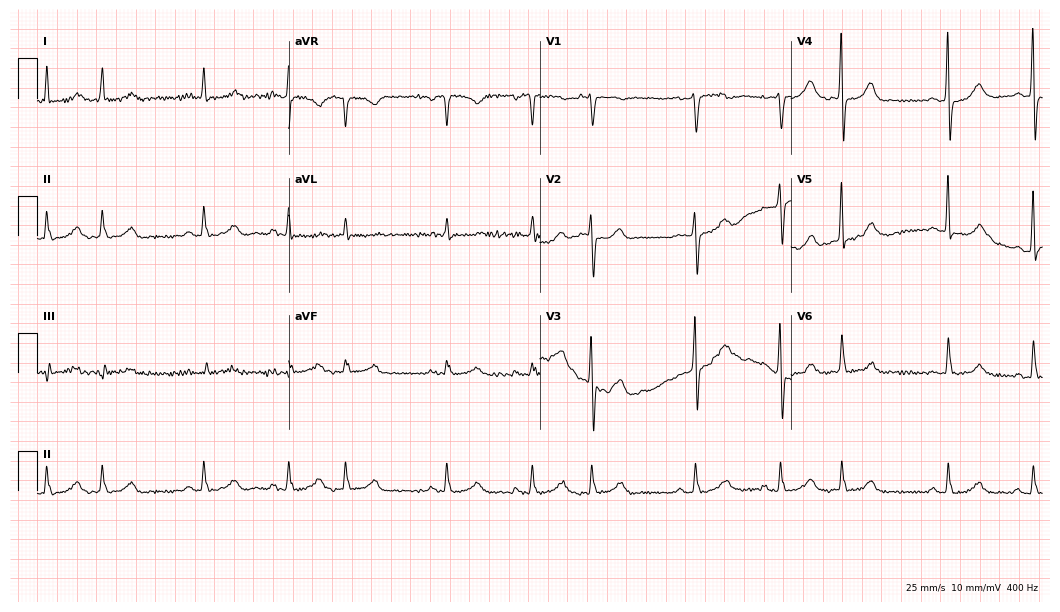
ECG — a 54-year-old female. Screened for six findings — first-degree AV block, right bundle branch block, left bundle branch block, sinus bradycardia, atrial fibrillation, sinus tachycardia — none is recorded.